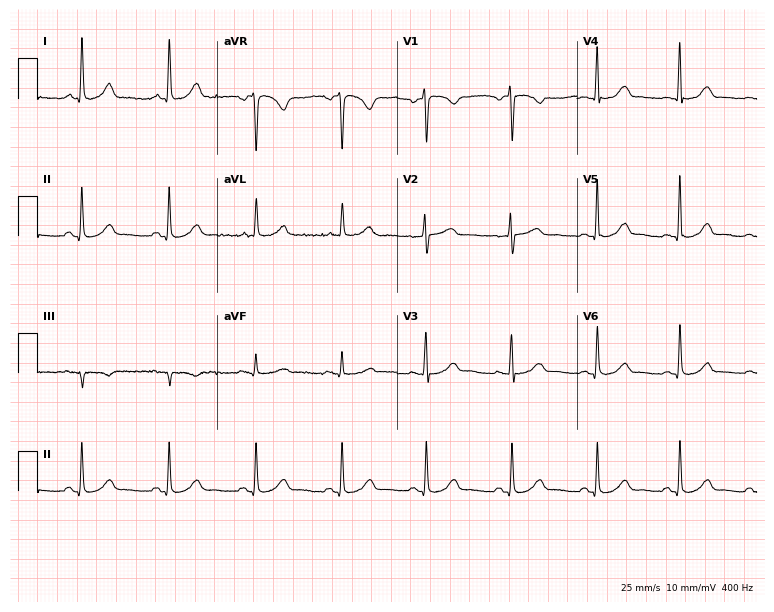
Electrocardiogram, a woman, 53 years old. Overall reading on record: normal ECG.